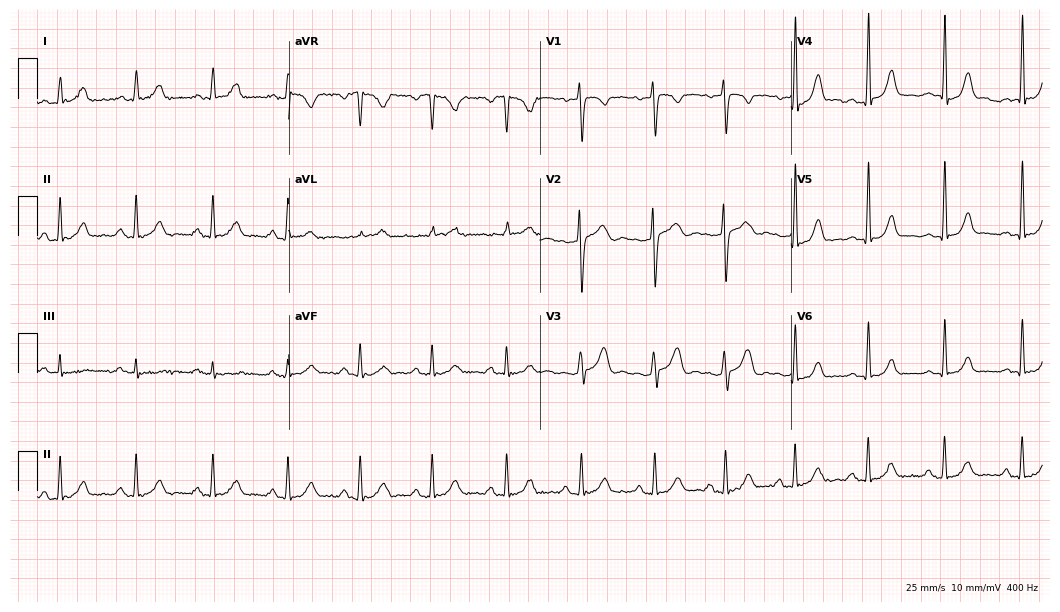
Electrocardiogram, a 37-year-old female. Overall reading on record: normal ECG.